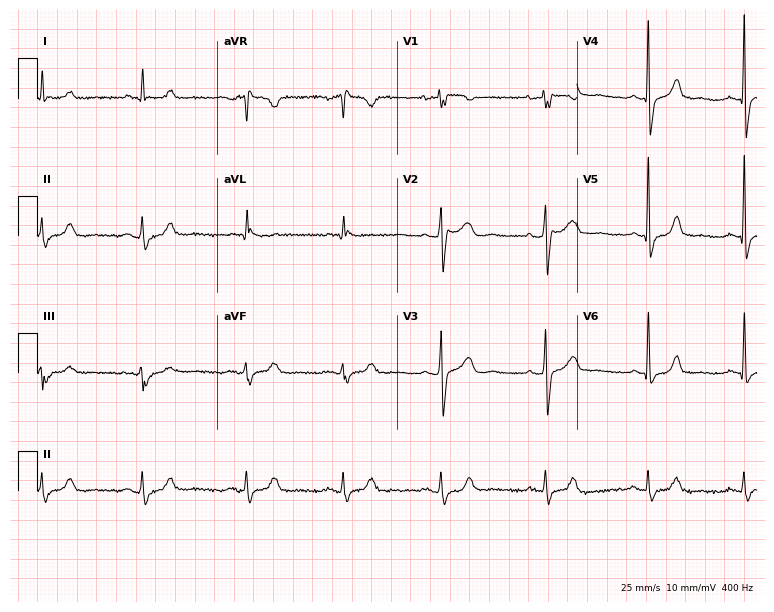
Electrocardiogram, a 62-year-old woman. Of the six screened findings (first-degree AV block, right bundle branch block (RBBB), left bundle branch block (LBBB), sinus bradycardia, atrial fibrillation (AF), sinus tachycardia), none is recorded.